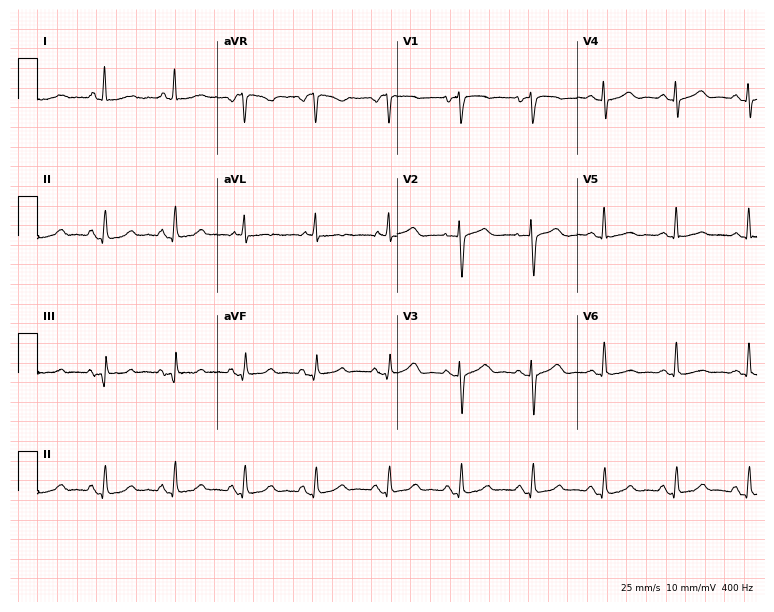
ECG — a woman, 60 years old. Screened for six findings — first-degree AV block, right bundle branch block (RBBB), left bundle branch block (LBBB), sinus bradycardia, atrial fibrillation (AF), sinus tachycardia — none is recorded. Findings outside these six are not listed.